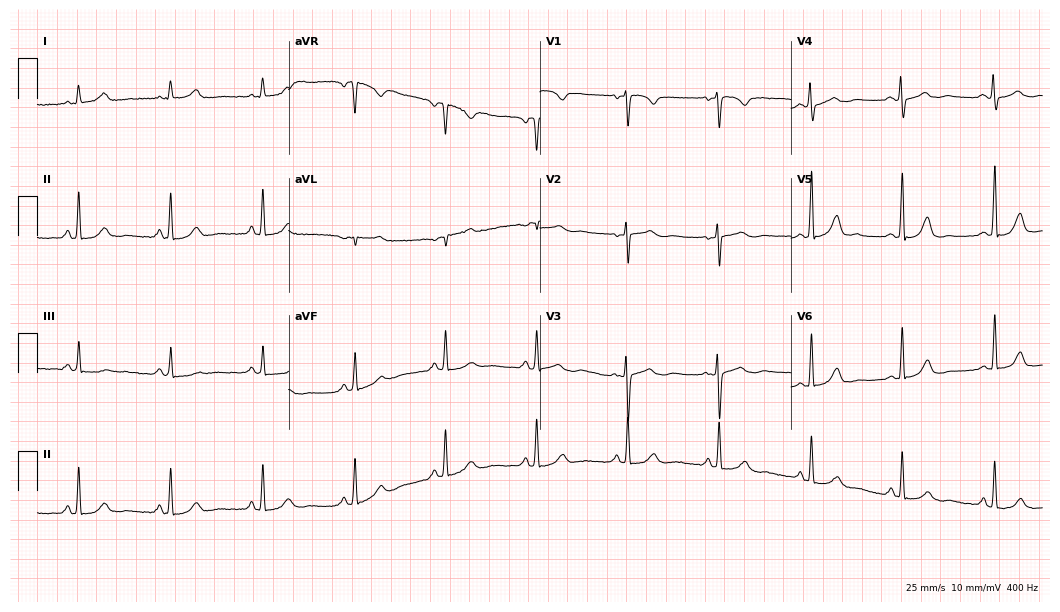
Electrocardiogram, a 42-year-old female patient. Overall reading on record: normal ECG.